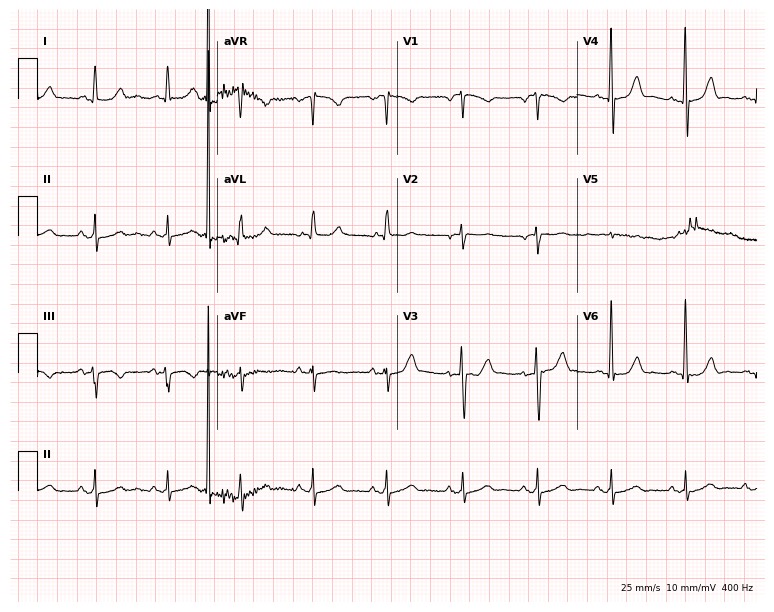
Electrocardiogram, a 55-year-old male. Overall reading on record: normal ECG.